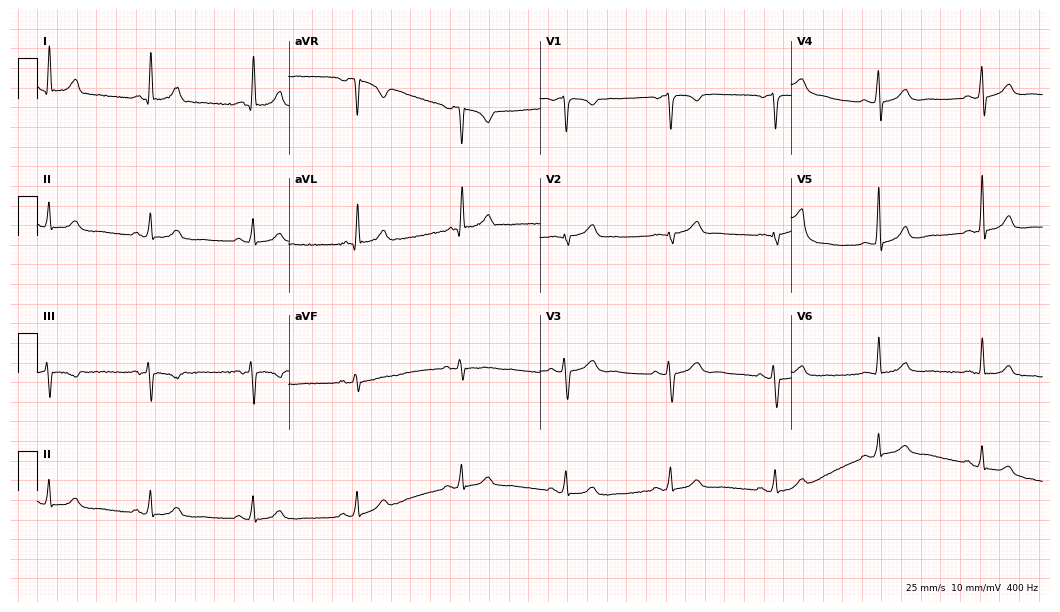
ECG (10.2-second recording at 400 Hz) — a 57-year-old male. Labelled as a normal ECG.